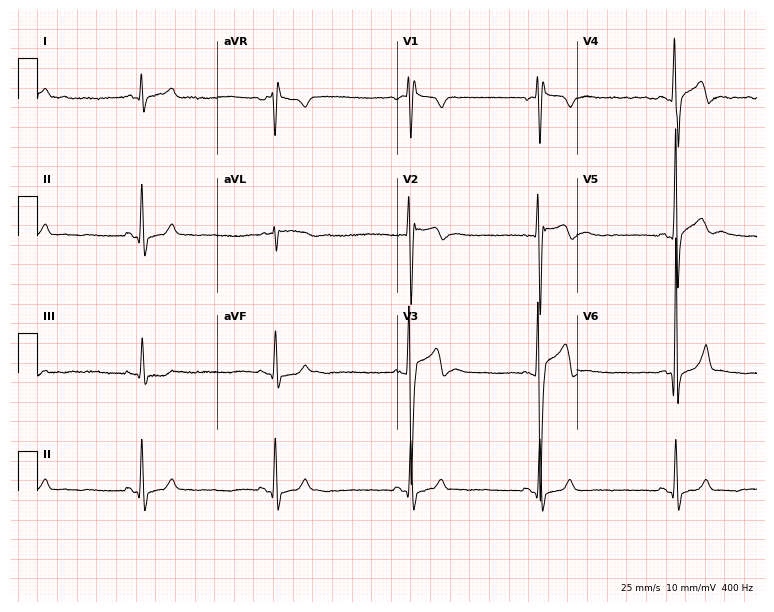
Resting 12-lead electrocardiogram. Patient: a 26-year-old man. The tracing shows sinus bradycardia (a sinus rate of 50 beats per minute or less).